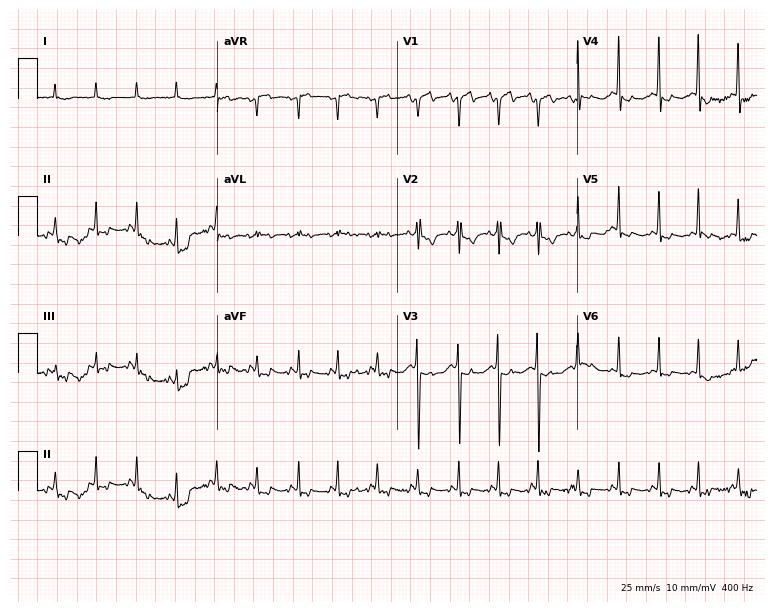
12-lead ECG (7.3-second recording at 400 Hz) from a woman, 82 years old. Screened for six findings — first-degree AV block, right bundle branch block (RBBB), left bundle branch block (LBBB), sinus bradycardia, atrial fibrillation (AF), sinus tachycardia — none is recorded.